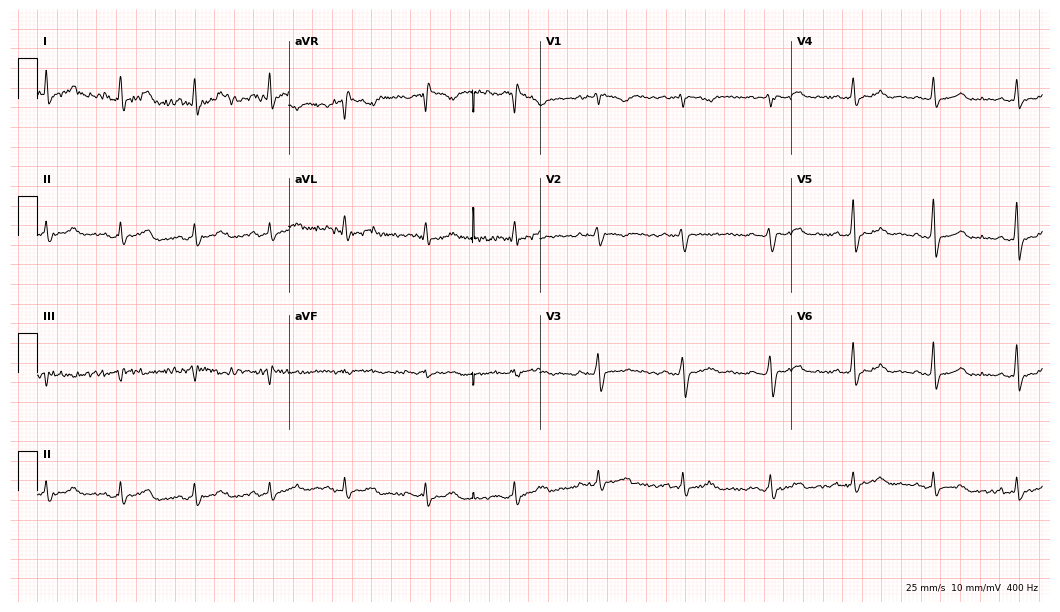
12-lead ECG from a 33-year-old male (10.2-second recording at 400 Hz). No first-degree AV block, right bundle branch block (RBBB), left bundle branch block (LBBB), sinus bradycardia, atrial fibrillation (AF) or sinus tachycardia recorded for this tracing. Other findings, if any, are not listed.